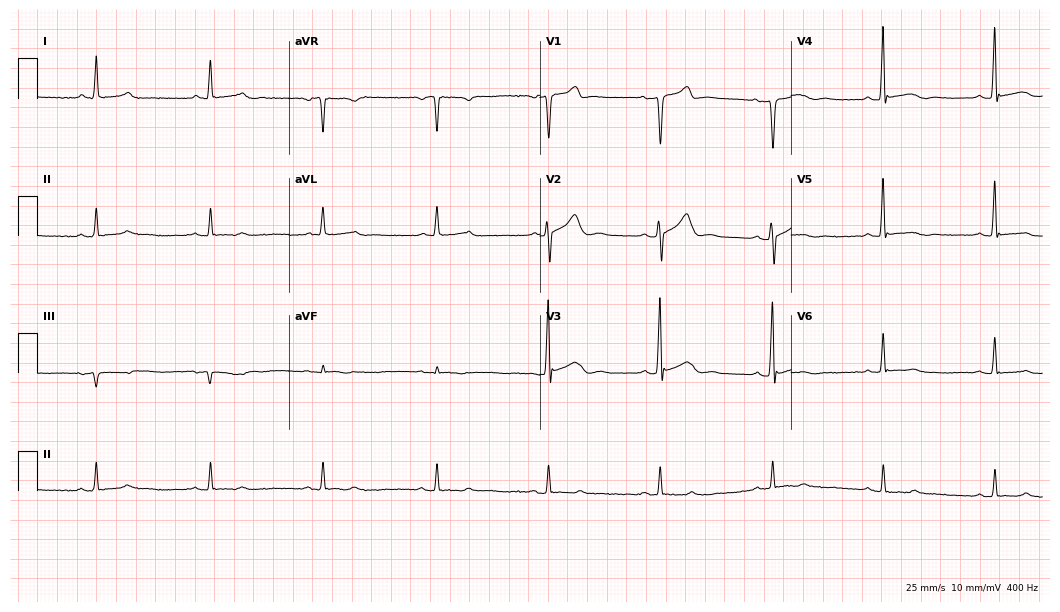
Resting 12-lead electrocardiogram. Patient: a 54-year-old man. None of these six findings is recorded: first-degree AV block, right bundle branch block, left bundle branch block, sinus bradycardia, atrial fibrillation, sinus tachycardia. Findings outside these six are not listed.